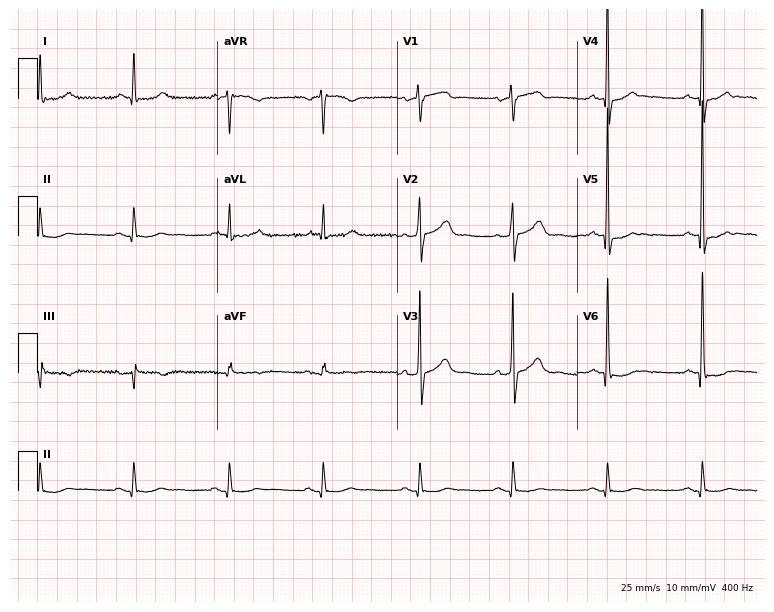
Standard 12-lead ECG recorded from a man, 60 years old. None of these six findings is recorded: first-degree AV block, right bundle branch block, left bundle branch block, sinus bradycardia, atrial fibrillation, sinus tachycardia.